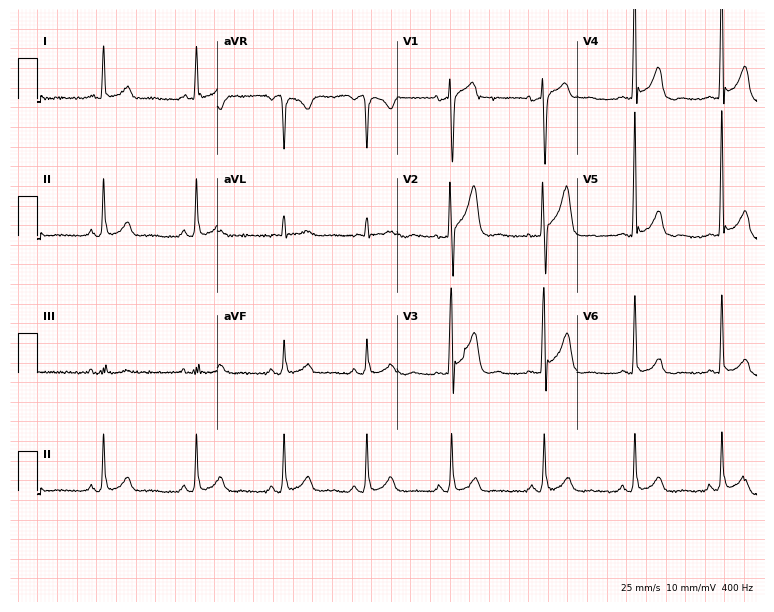
ECG (7.3-second recording at 400 Hz) — a 49-year-old male patient. Screened for six findings — first-degree AV block, right bundle branch block, left bundle branch block, sinus bradycardia, atrial fibrillation, sinus tachycardia — none is recorded. Findings outside these six are not listed.